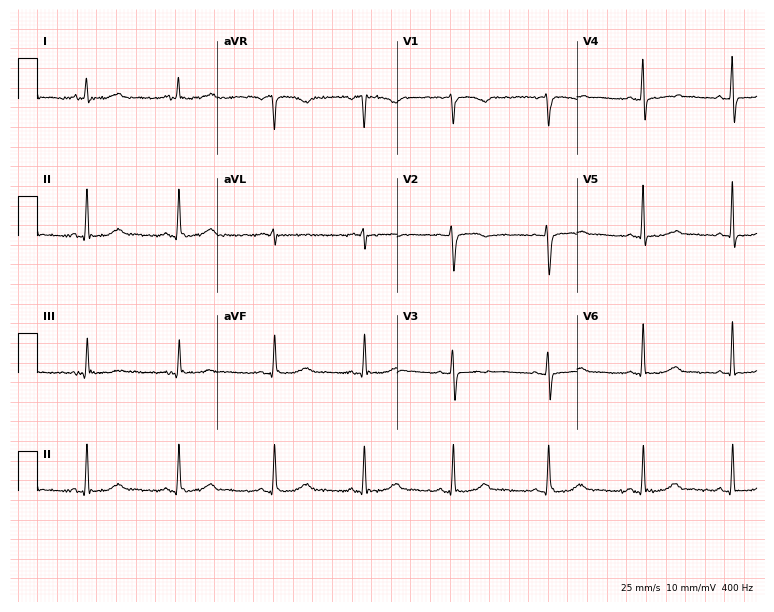
Standard 12-lead ECG recorded from a 54-year-old woman. Read as a normal ECG.